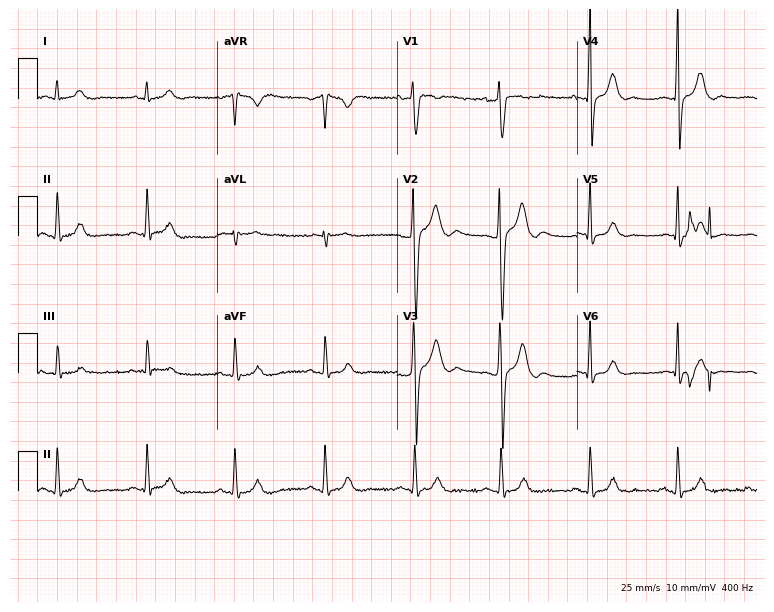
Standard 12-lead ECG recorded from a male patient, 24 years old. None of these six findings is recorded: first-degree AV block, right bundle branch block, left bundle branch block, sinus bradycardia, atrial fibrillation, sinus tachycardia.